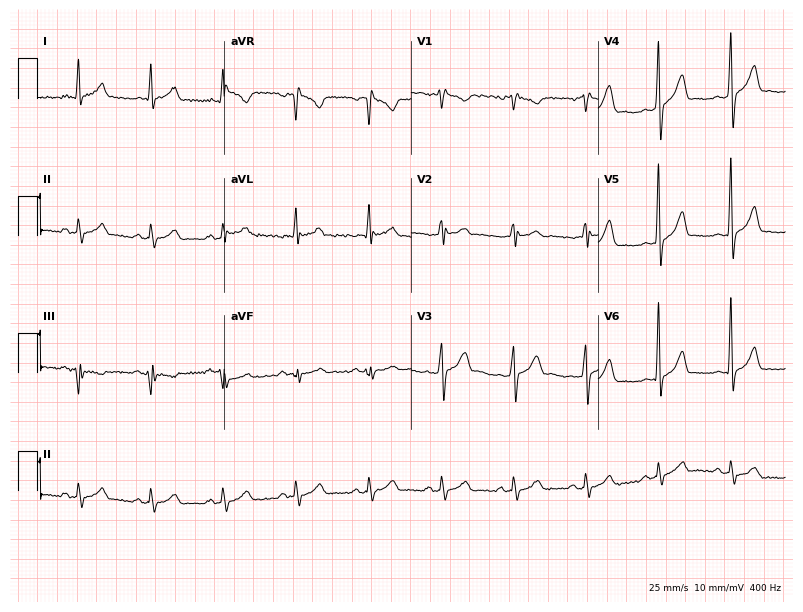
12-lead ECG from a male, 32 years old (7.6-second recording at 400 Hz). Recorded interpretation: within normal limits.